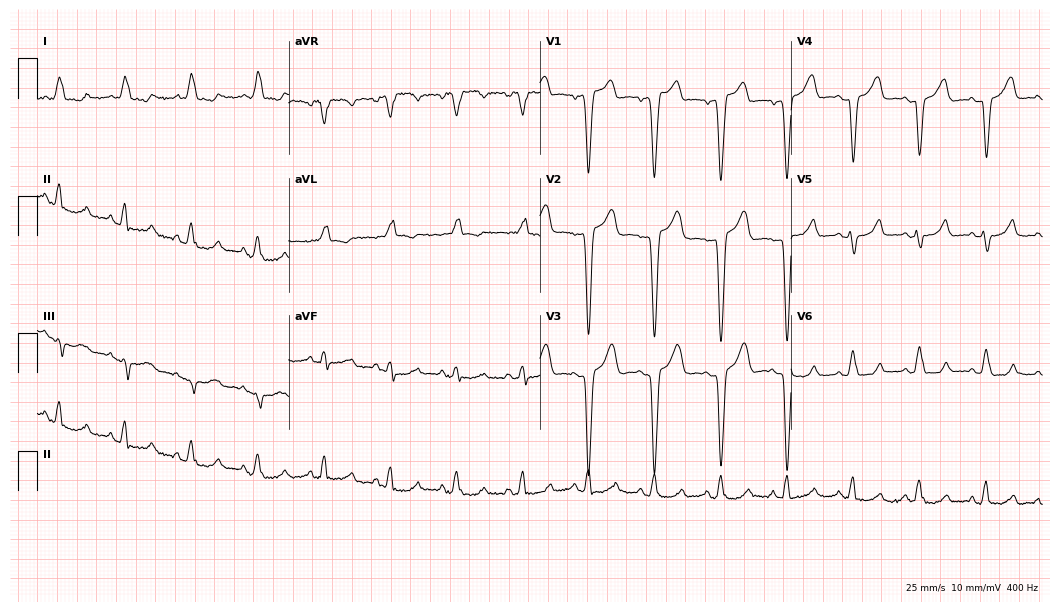
ECG (10.2-second recording at 400 Hz) — a female, 84 years old. Findings include left bundle branch block (LBBB).